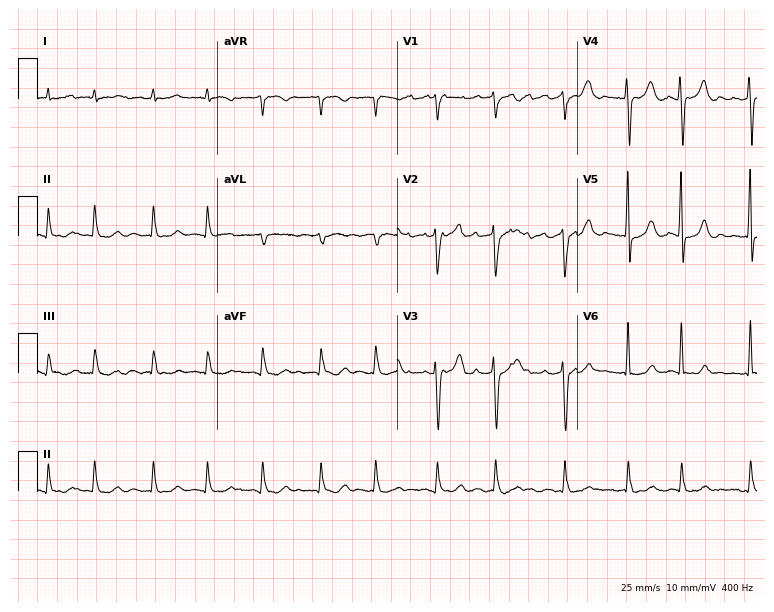
12-lead ECG from a male, 82 years old. Shows atrial fibrillation (AF).